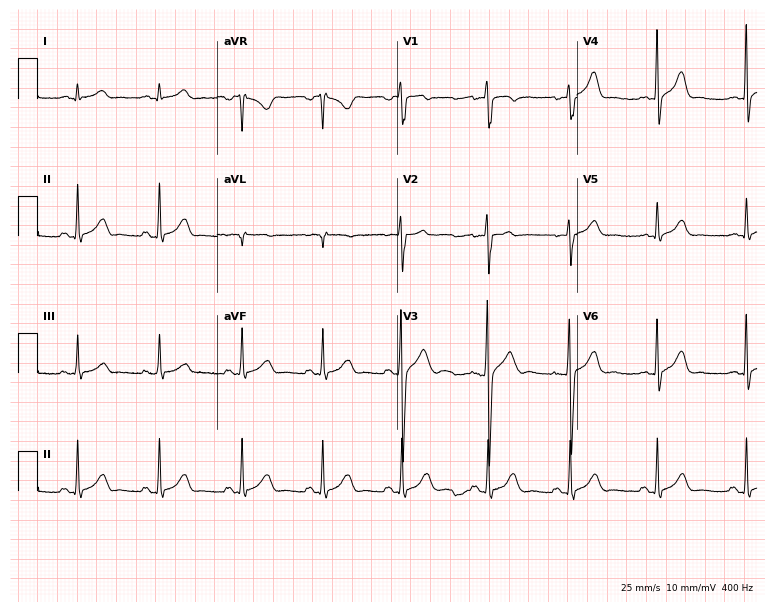
ECG (7.3-second recording at 400 Hz) — a 30-year-old man. Labelled as a normal ECG.